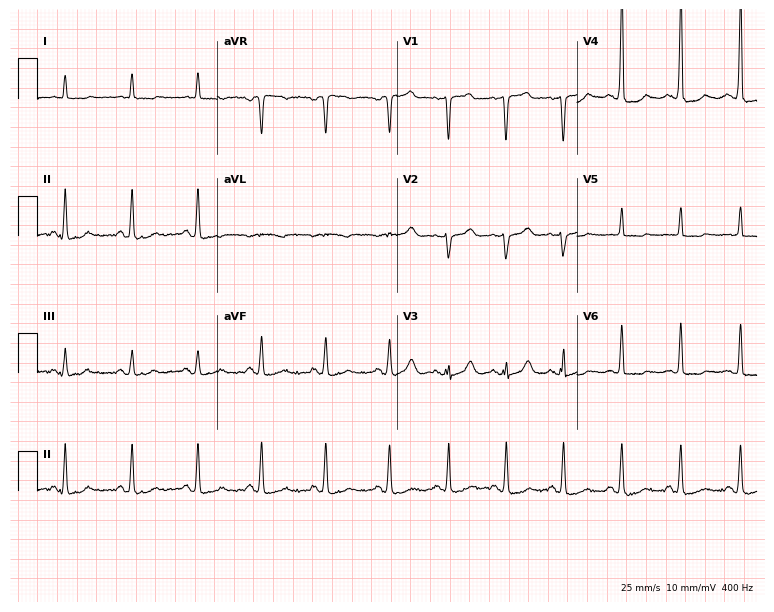
Resting 12-lead electrocardiogram (7.3-second recording at 400 Hz). Patient: a female, 66 years old. None of these six findings is recorded: first-degree AV block, right bundle branch block, left bundle branch block, sinus bradycardia, atrial fibrillation, sinus tachycardia.